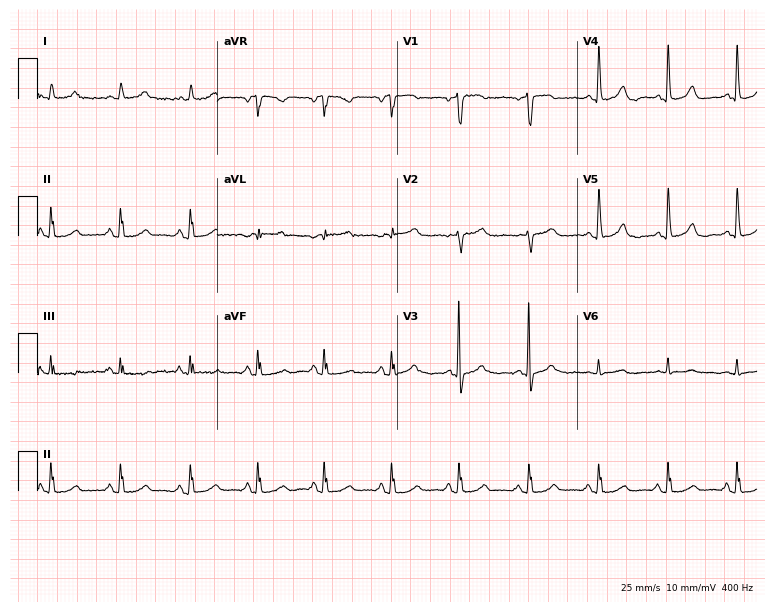
12-lead ECG (7.3-second recording at 400 Hz) from a woman, 54 years old. Labelled as a normal ECG.